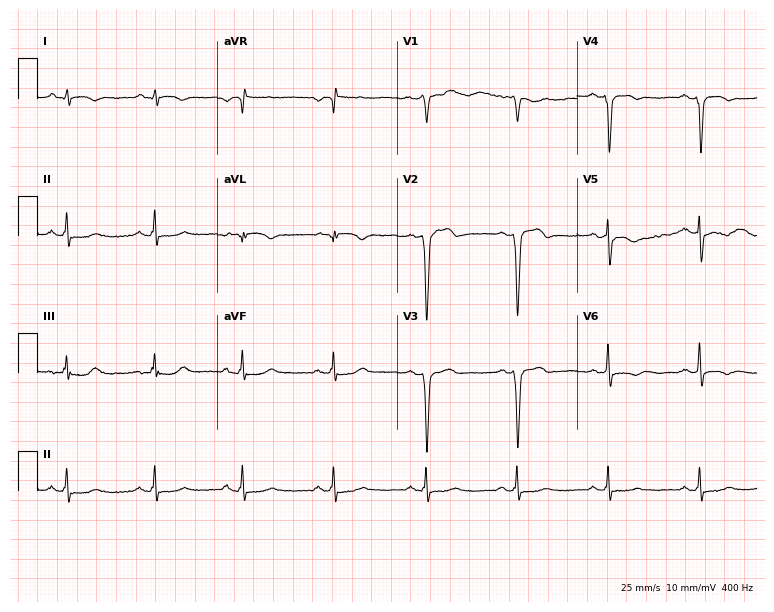
Electrocardiogram (7.3-second recording at 400 Hz), a 47-year-old male. Of the six screened findings (first-degree AV block, right bundle branch block (RBBB), left bundle branch block (LBBB), sinus bradycardia, atrial fibrillation (AF), sinus tachycardia), none is recorded.